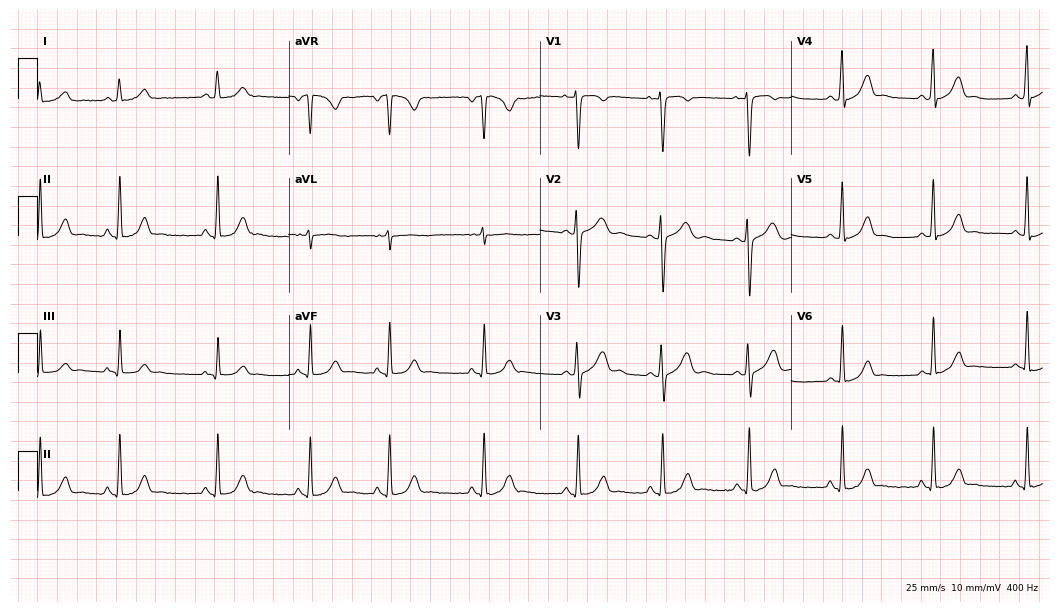
Standard 12-lead ECG recorded from a 23-year-old female patient. Read as a normal ECG.